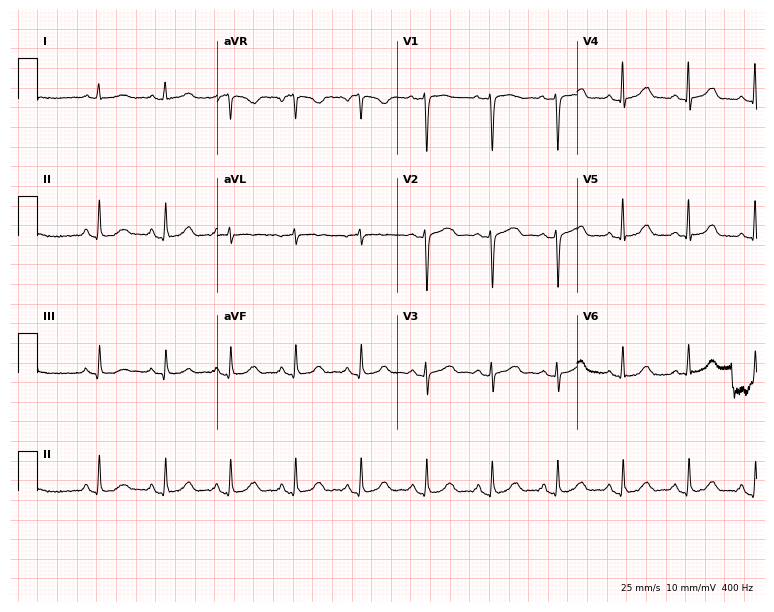
ECG — a female patient, 56 years old. Labelled as a normal ECG.